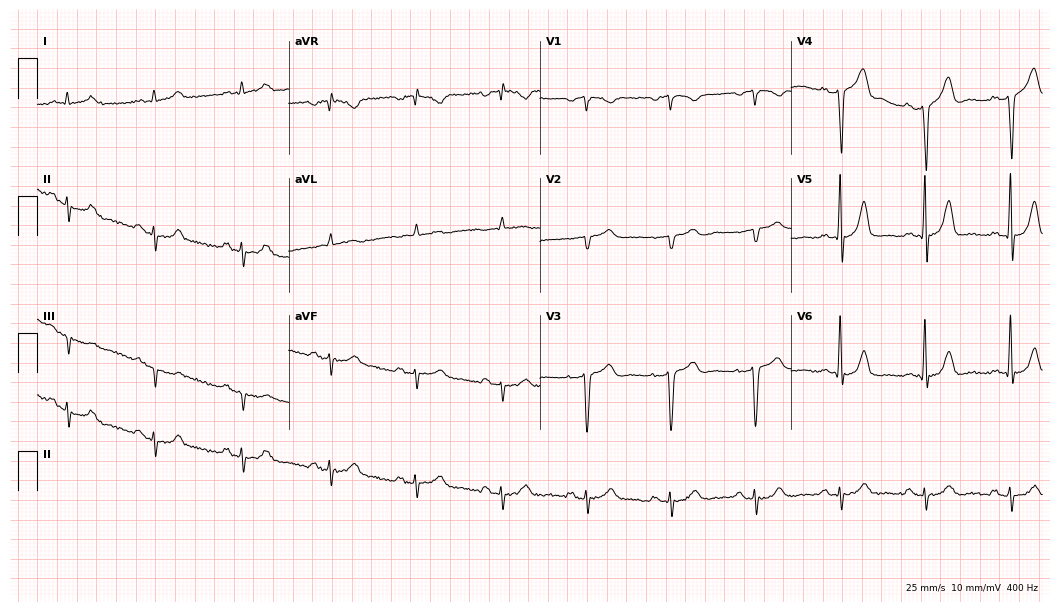
Electrocardiogram, a 50-year-old male patient. Of the six screened findings (first-degree AV block, right bundle branch block (RBBB), left bundle branch block (LBBB), sinus bradycardia, atrial fibrillation (AF), sinus tachycardia), none is recorded.